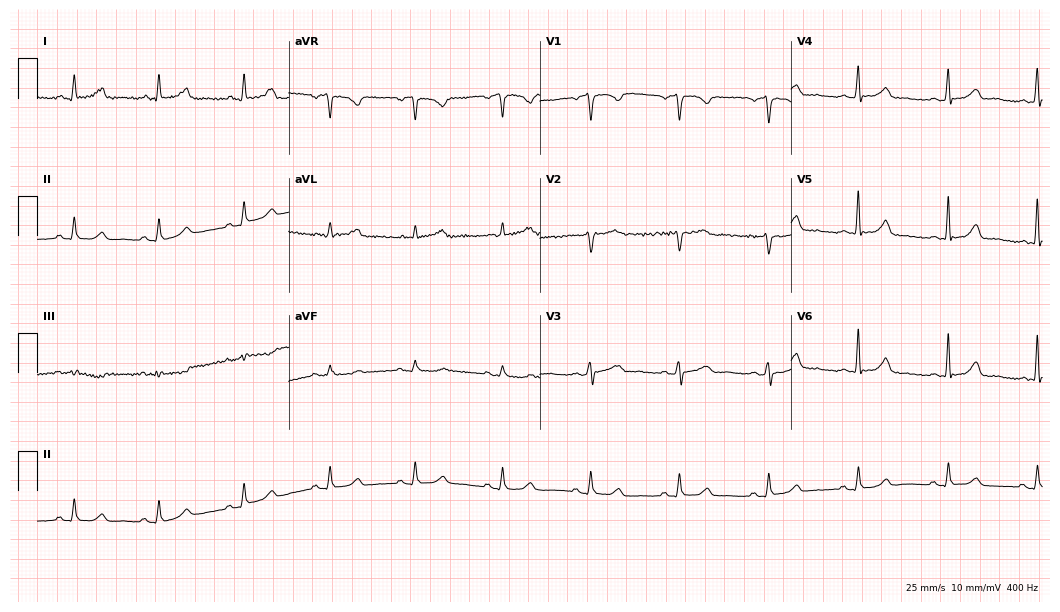
12-lead ECG from a woman, 64 years old. Labelled as a normal ECG.